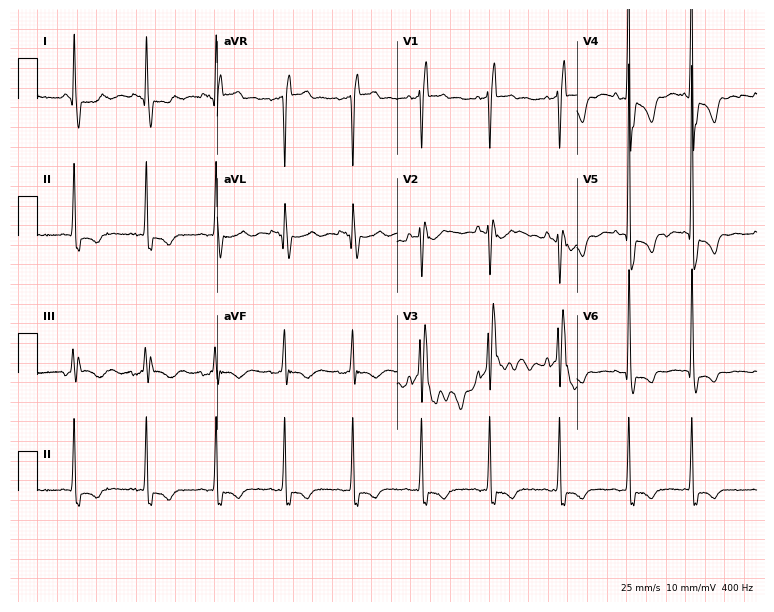
Resting 12-lead electrocardiogram (7.3-second recording at 400 Hz). Patient: a female, 76 years old. None of these six findings is recorded: first-degree AV block, right bundle branch block, left bundle branch block, sinus bradycardia, atrial fibrillation, sinus tachycardia. Other findings, if any, are not listed.